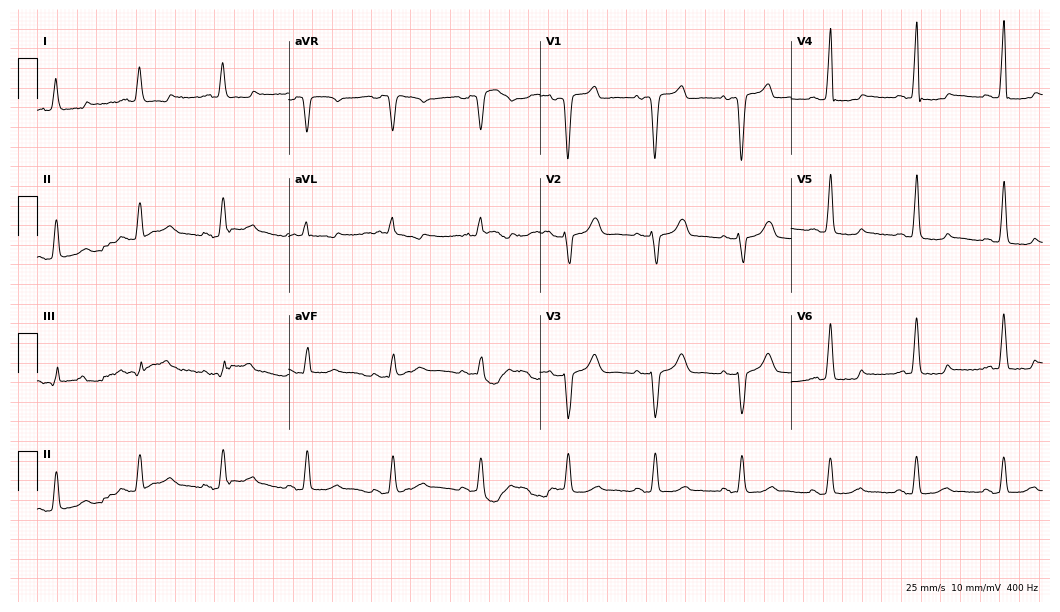
12-lead ECG from an 80-year-old female. Screened for six findings — first-degree AV block, right bundle branch block, left bundle branch block, sinus bradycardia, atrial fibrillation, sinus tachycardia — none is recorded.